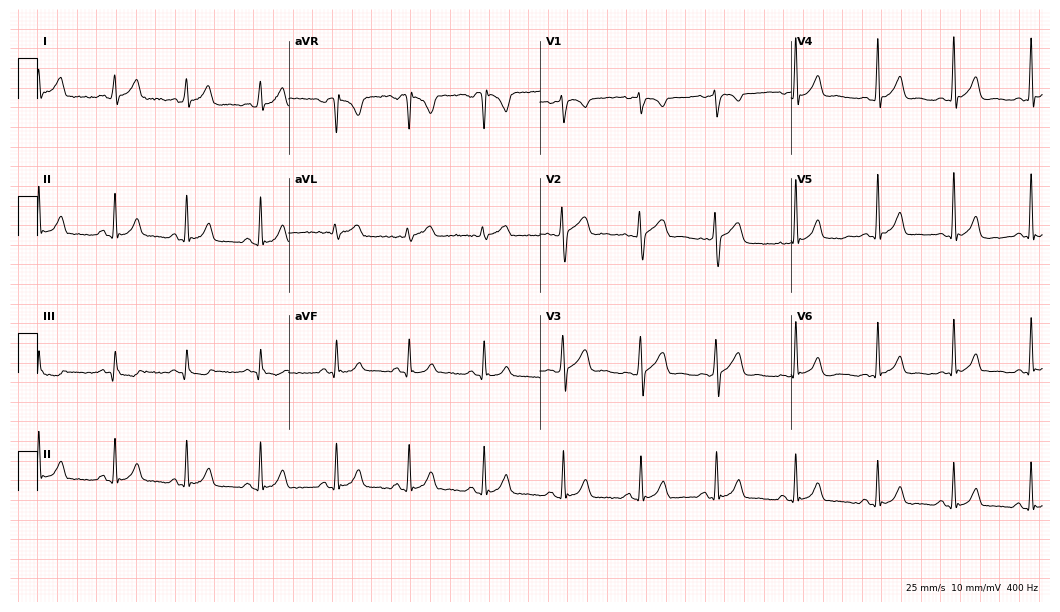
12-lead ECG from a 36-year-old female patient (10.2-second recording at 400 Hz). No first-degree AV block, right bundle branch block, left bundle branch block, sinus bradycardia, atrial fibrillation or sinus tachycardia recorded for this tracing.